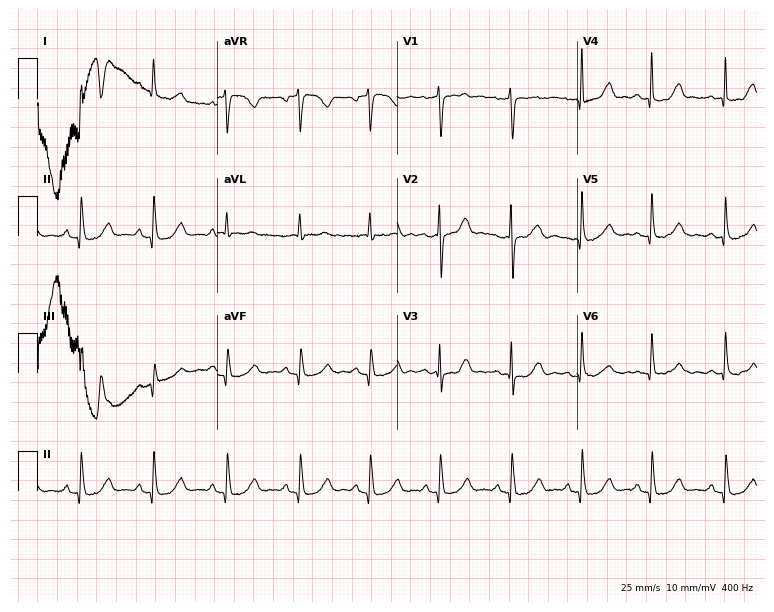
Resting 12-lead electrocardiogram (7.3-second recording at 400 Hz). Patient: a 76-year-old female. None of these six findings is recorded: first-degree AV block, right bundle branch block, left bundle branch block, sinus bradycardia, atrial fibrillation, sinus tachycardia. Only these six findings were labelled.